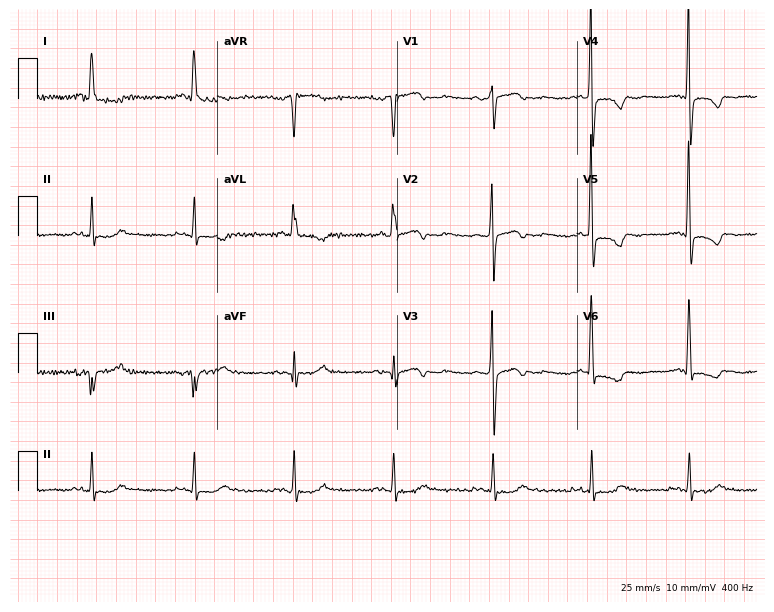
12-lead ECG from a woman, 75 years old (7.3-second recording at 400 Hz). No first-degree AV block, right bundle branch block (RBBB), left bundle branch block (LBBB), sinus bradycardia, atrial fibrillation (AF) or sinus tachycardia recorded for this tracing.